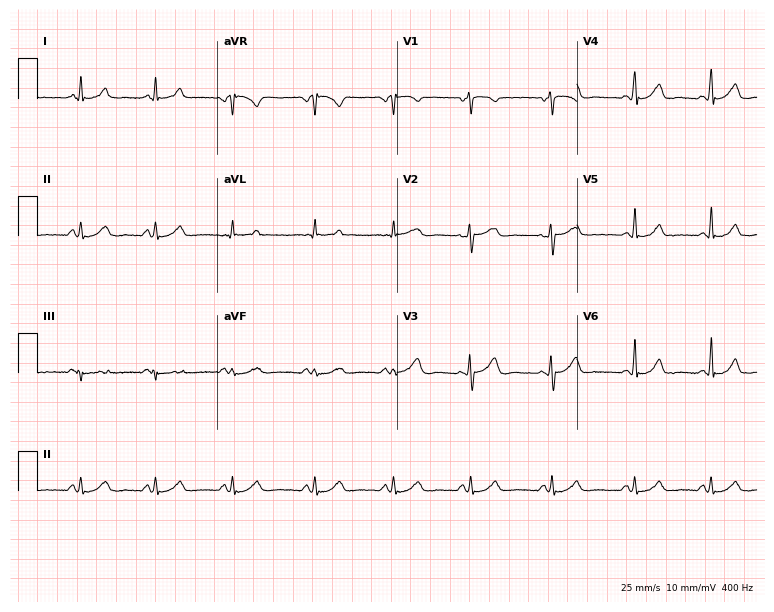
Electrocardiogram (7.3-second recording at 400 Hz), a 43-year-old female. Of the six screened findings (first-degree AV block, right bundle branch block (RBBB), left bundle branch block (LBBB), sinus bradycardia, atrial fibrillation (AF), sinus tachycardia), none is recorded.